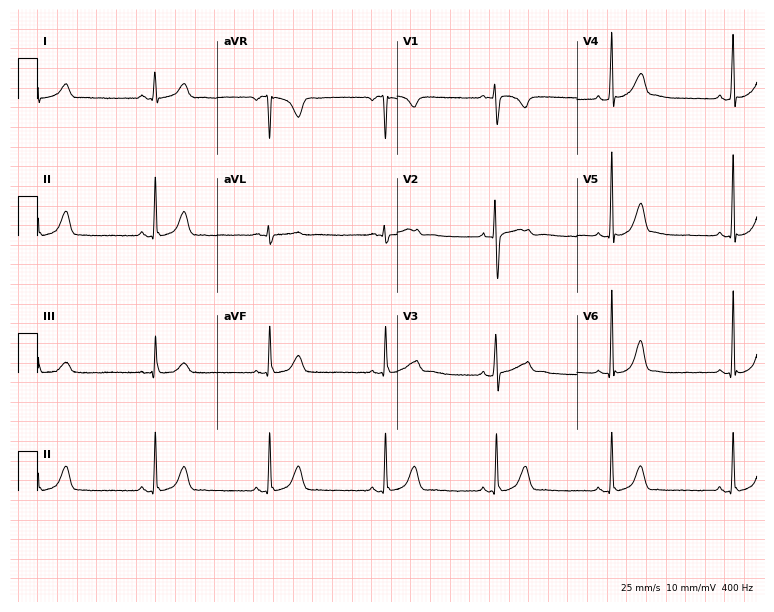
Electrocardiogram (7.3-second recording at 400 Hz), a female patient, 20 years old. Overall reading on record: normal ECG.